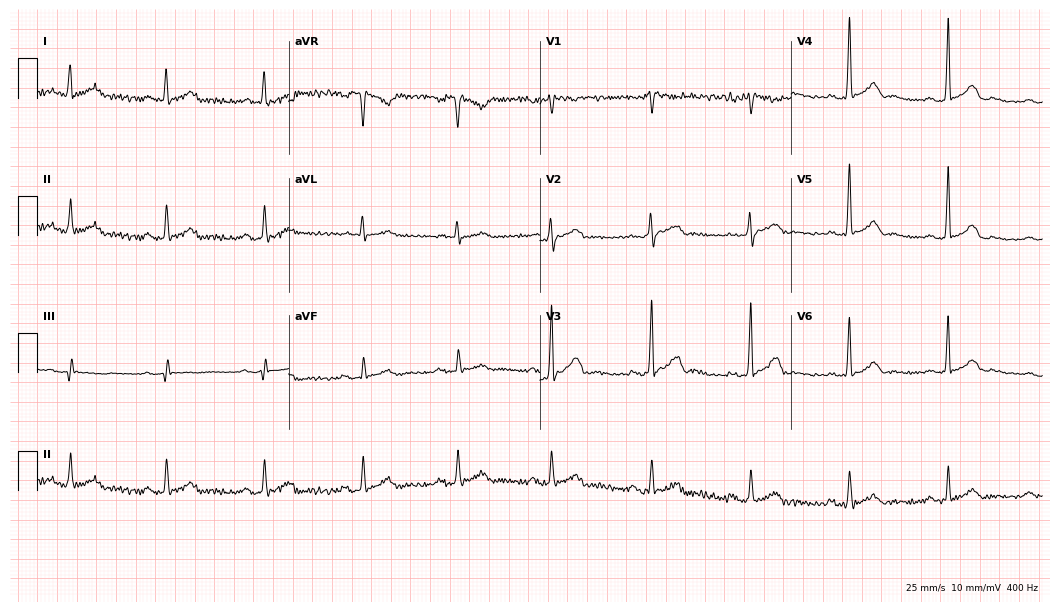
12-lead ECG (10.2-second recording at 400 Hz) from a male patient, 43 years old. Labelled as a normal ECG.